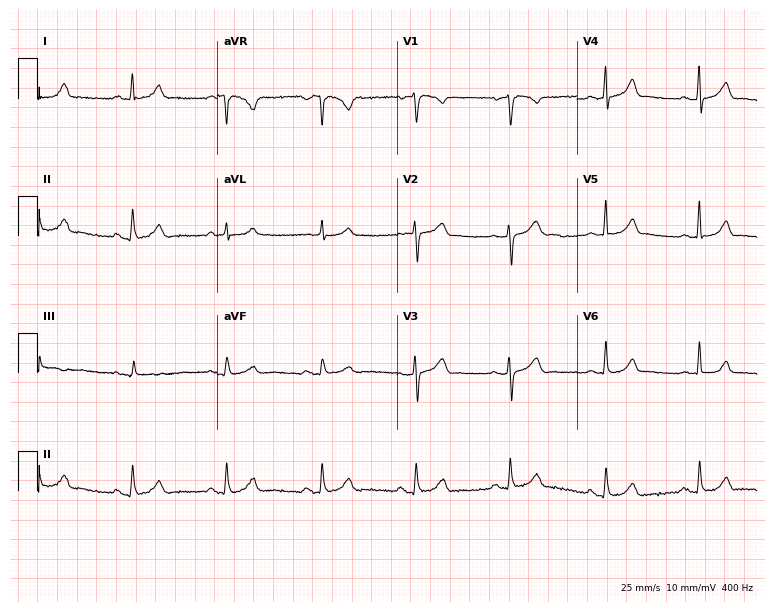
Standard 12-lead ECG recorded from a woman, 47 years old (7.3-second recording at 400 Hz). Read as a normal ECG.